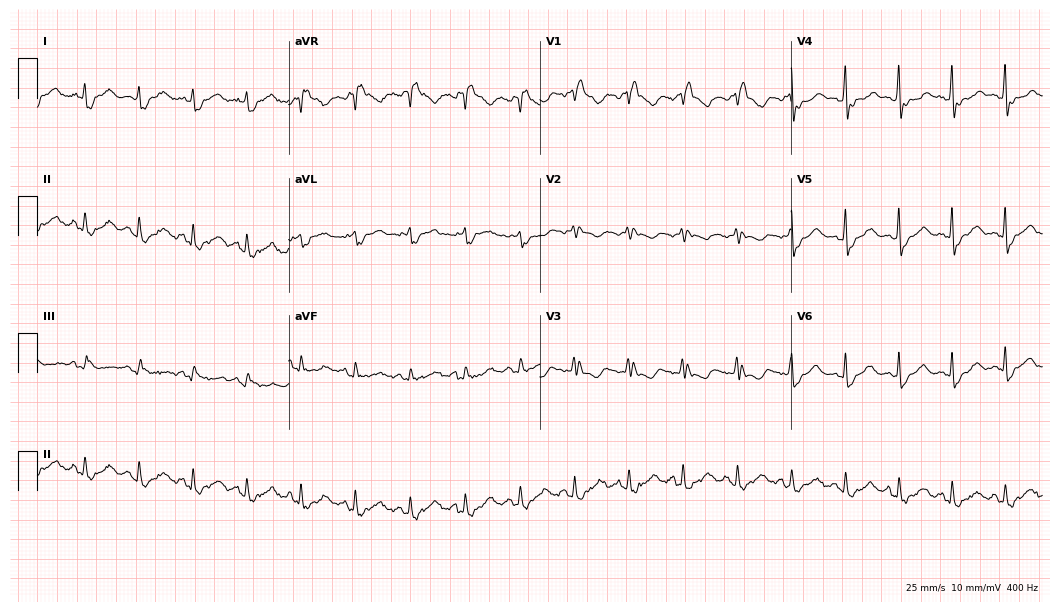
Resting 12-lead electrocardiogram (10.2-second recording at 400 Hz). Patient: a 48-year-old male. The tracing shows right bundle branch block, sinus tachycardia (a sinus rate of 100 beats per minute or more).